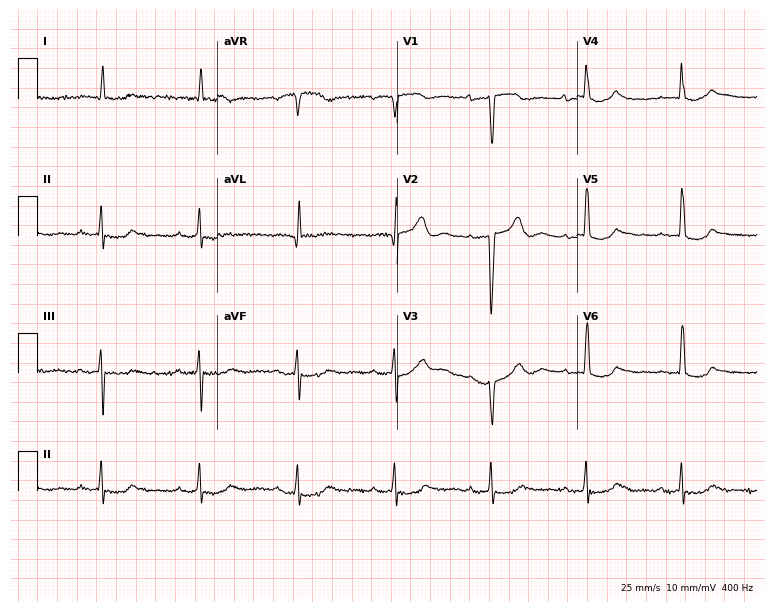
Electrocardiogram, a 75-year-old male. Of the six screened findings (first-degree AV block, right bundle branch block, left bundle branch block, sinus bradycardia, atrial fibrillation, sinus tachycardia), none is recorded. Only these six findings were labelled.